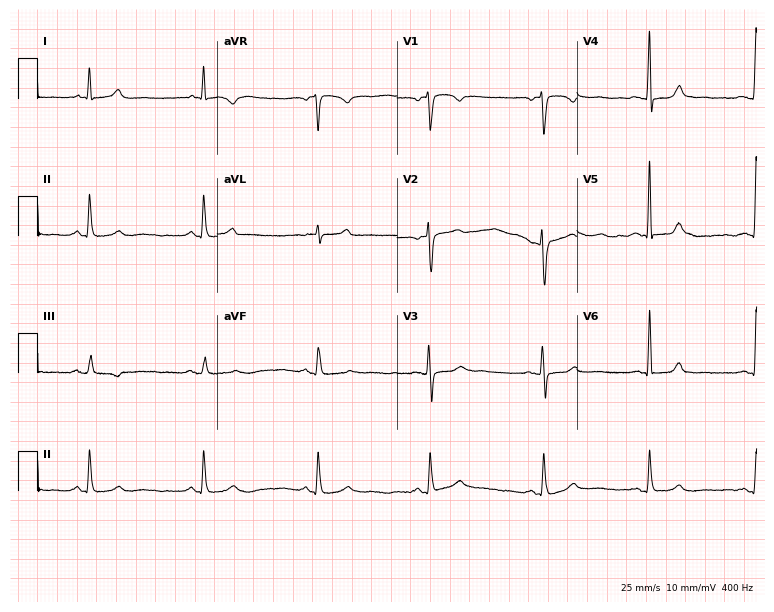
12-lead ECG from a 61-year-old woman. Recorded interpretation: within normal limits.